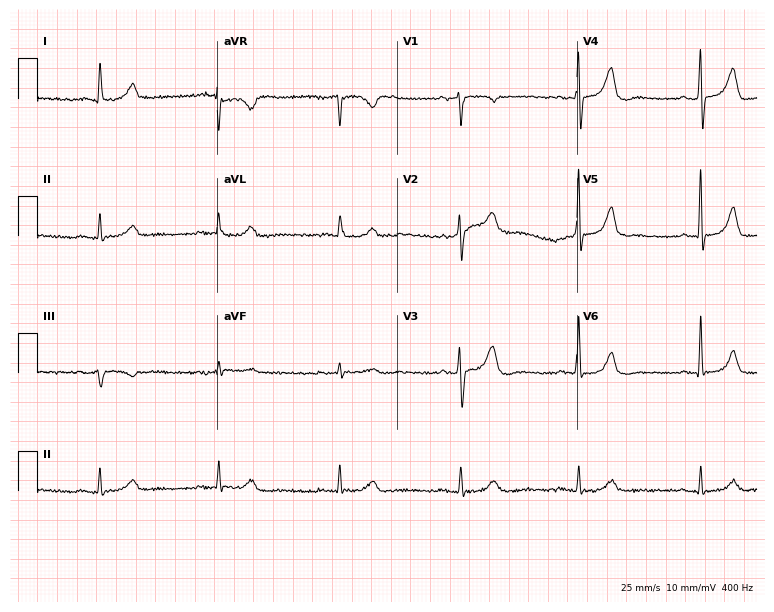
Standard 12-lead ECG recorded from a 78-year-old male patient. None of these six findings is recorded: first-degree AV block, right bundle branch block (RBBB), left bundle branch block (LBBB), sinus bradycardia, atrial fibrillation (AF), sinus tachycardia.